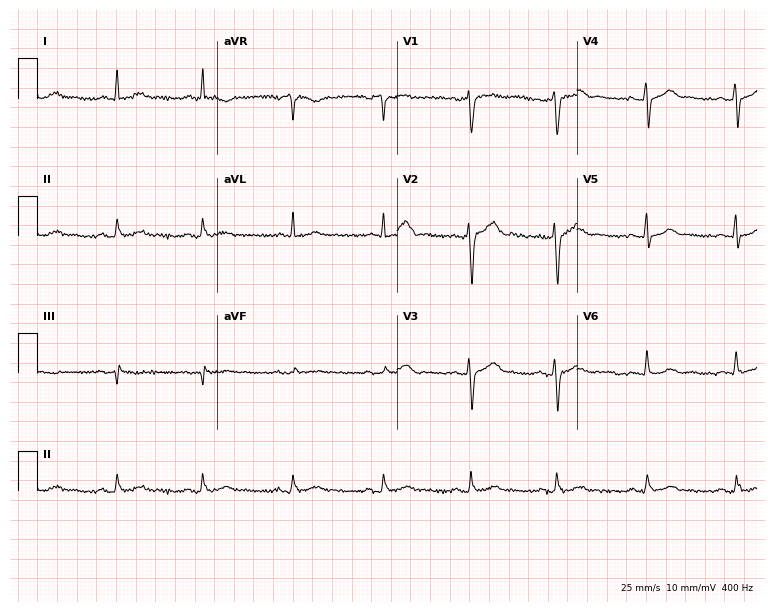
ECG — a man, 48 years old. Labelled as a normal ECG.